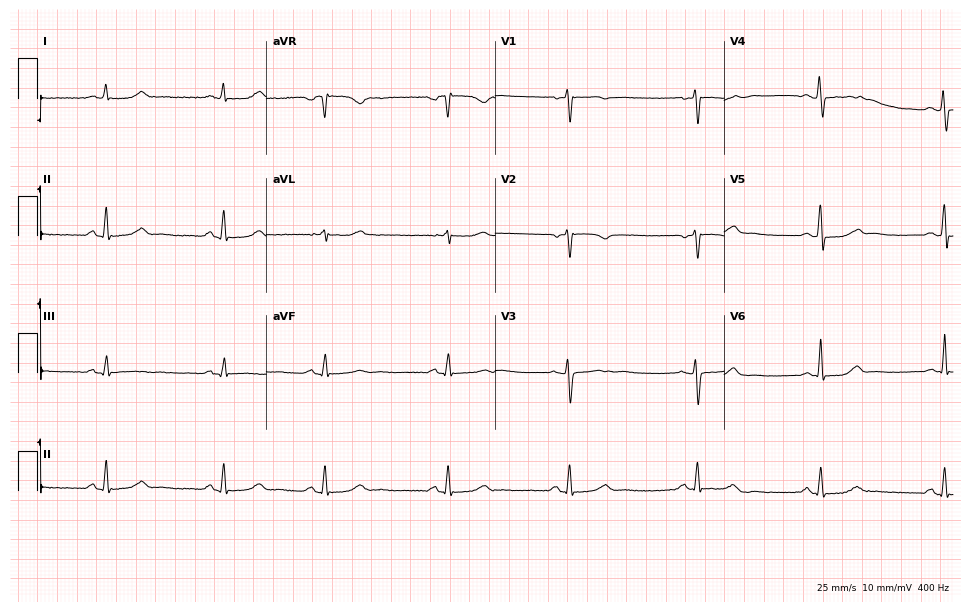
Electrocardiogram (9.3-second recording at 400 Hz), a 47-year-old female patient. Of the six screened findings (first-degree AV block, right bundle branch block (RBBB), left bundle branch block (LBBB), sinus bradycardia, atrial fibrillation (AF), sinus tachycardia), none is recorded.